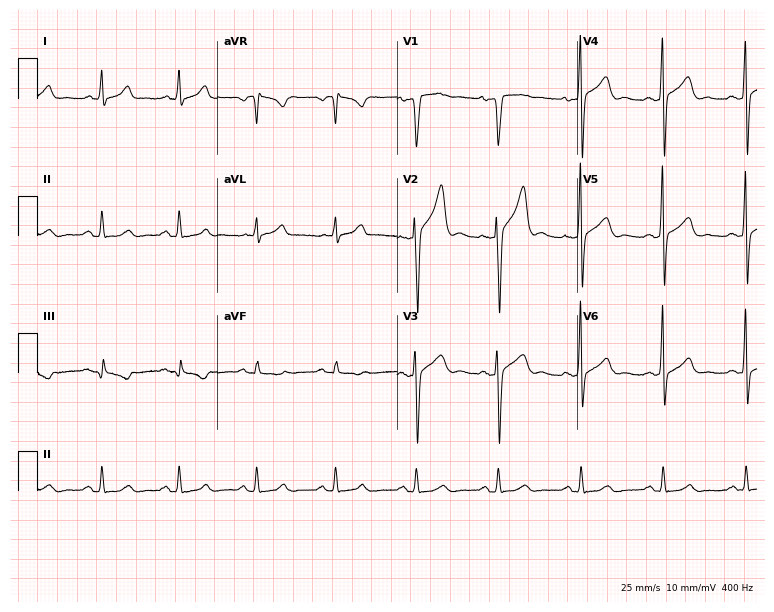
12-lead ECG (7.3-second recording at 400 Hz) from a 37-year-old male patient. Labelled as a normal ECG.